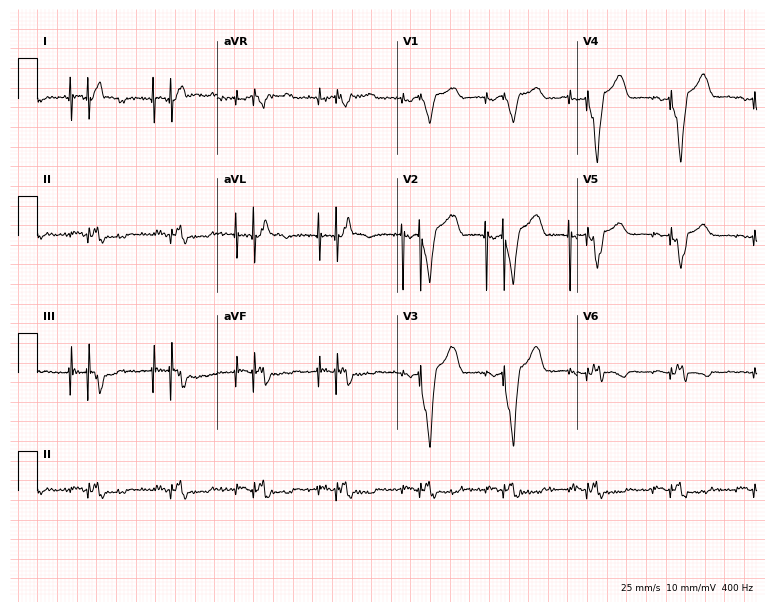
12-lead ECG (7.3-second recording at 400 Hz) from a 55-year-old male. Screened for six findings — first-degree AV block, right bundle branch block, left bundle branch block, sinus bradycardia, atrial fibrillation, sinus tachycardia — none is recorded.